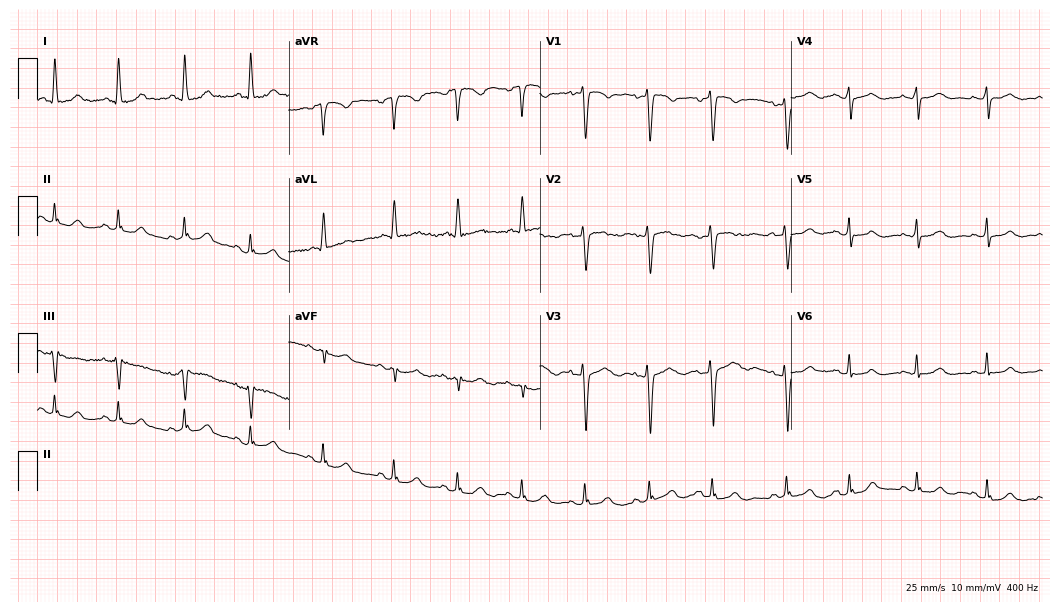
12-lead ECG from a woman, 81 years old (10.2-second recording at 400 Hz). Recorded interpretation: within normal limits.